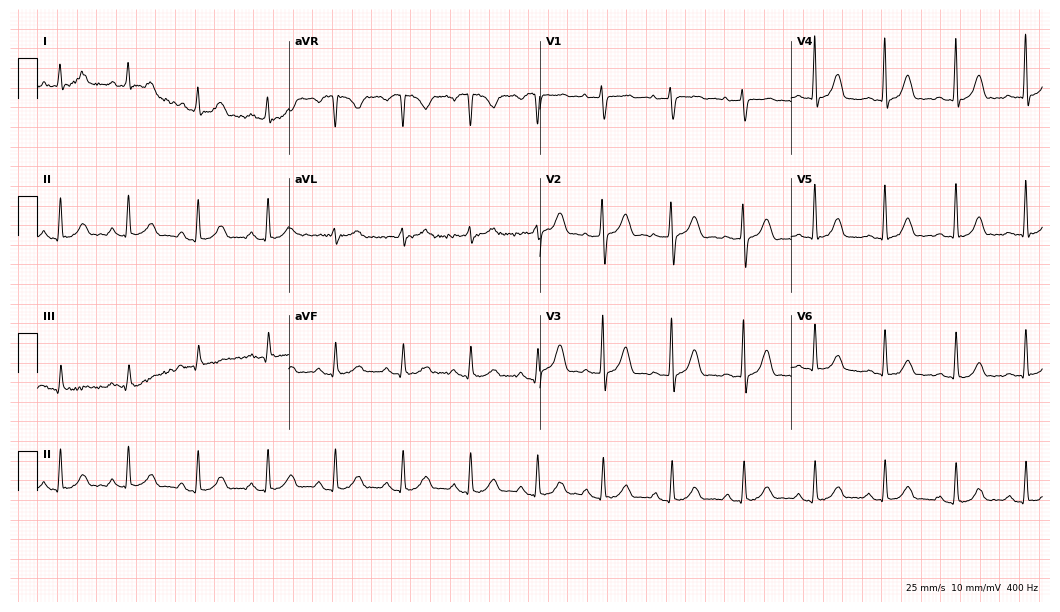
Standard 12-lead ECG recorded from a 42-year-old female patient (10.2-second recording at 400 Hz). Read as a normal ECG.